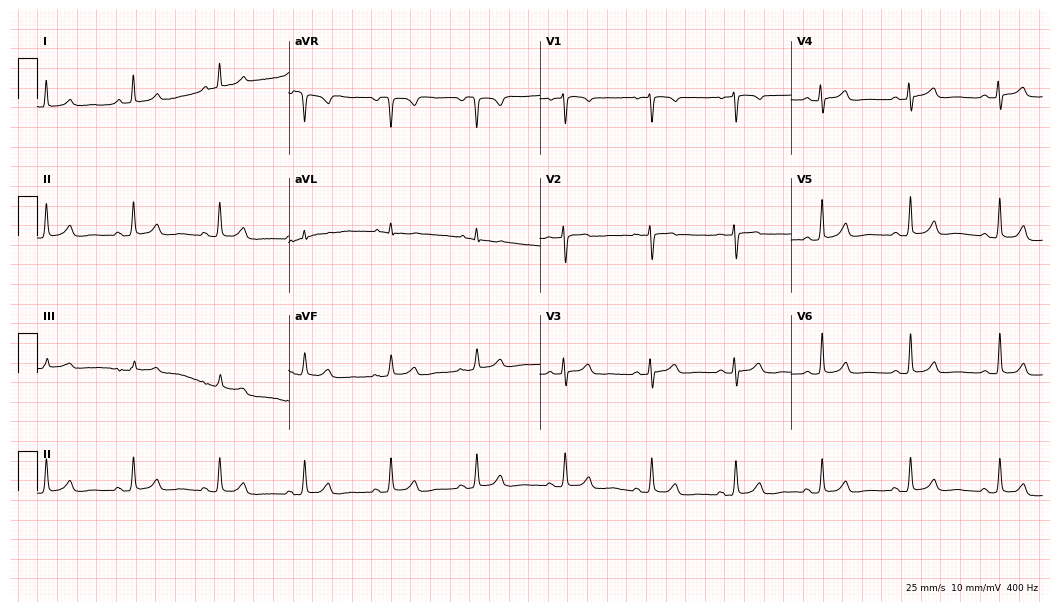
Electrocardiogram (10.2-second recording at 400 Hz), a female patient, 51 years old. Overall reading on record: normal ECG.